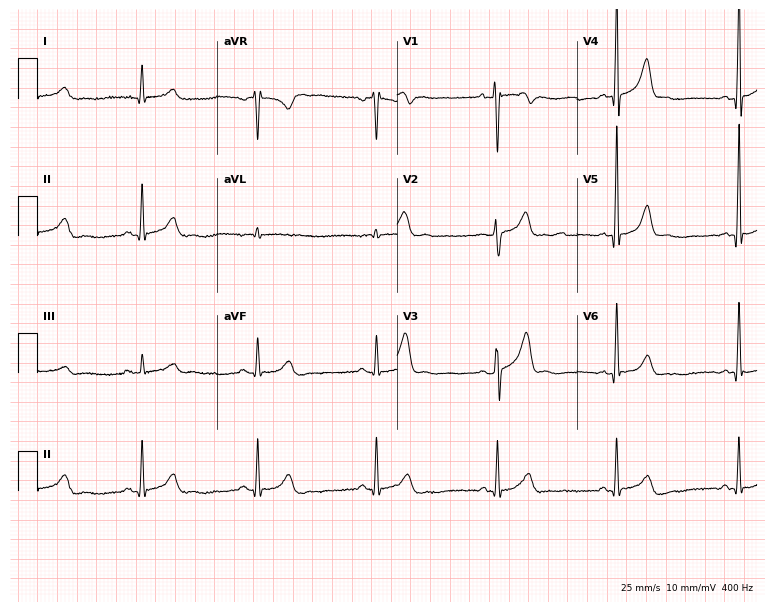
Resting 12-lead electrocardiogram (7.3-second recording at 400 Hz). Patient: a 58-year-old man. None of these six findings is recorded: first-degree AV block, right bundle branch block, left bundle branch block, sinus bradycardia, atrial fibrillation, sinus tachycardia.